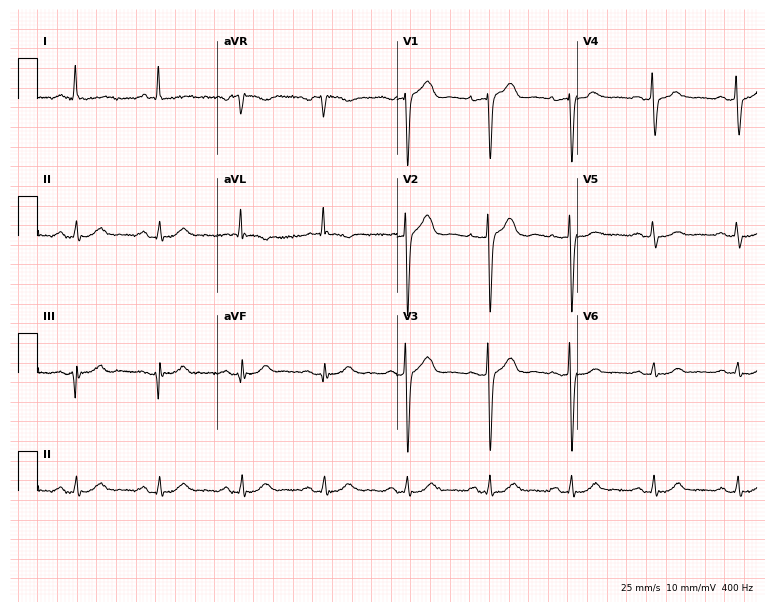
ECG (7.3-second recording at 400 Hz) — a 61-year-old male patient. Screened for six findings — first-degree AV block, right bundle branch block, left bundle branch block, sinus bradycardia, atrial fibrillation, sinus tachycardia — none is recorded. Only these six findings were labelled.